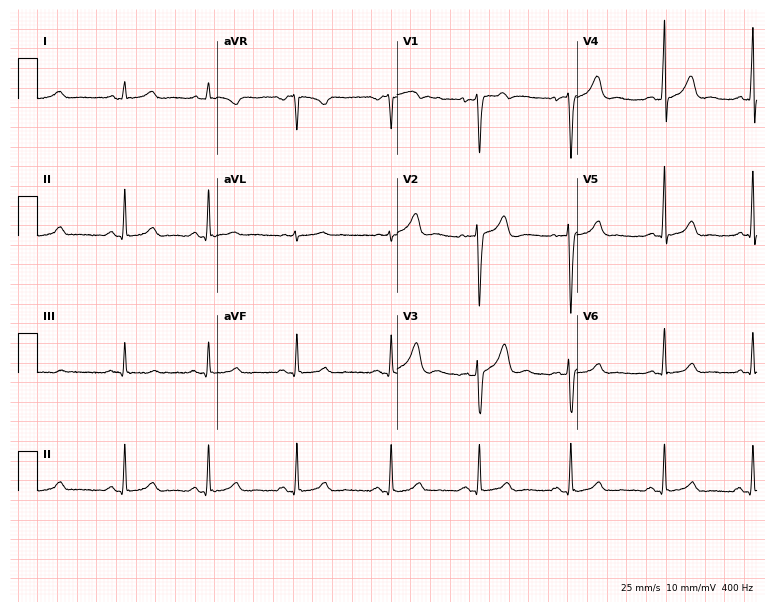
Standard 12-lead ECG recorded from a 41-year-old female (7.3-second recording at 400 Hz). None of these six findings is recorded: first-degree AV block, right bundle branch block (RBBB), left bundle branch block (LBBB), sinus bradycardia, atrial fibrillation (AF), sinus tachycardia.